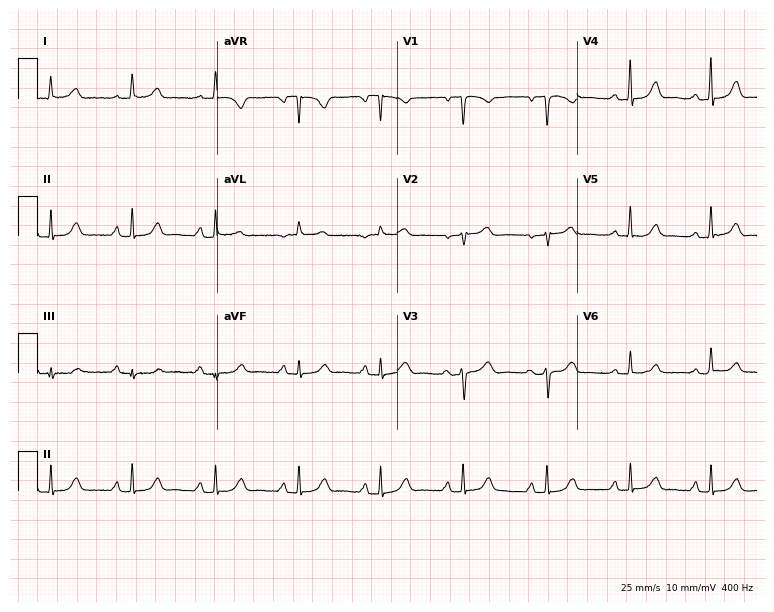
ECG — a 62-year-old woman. Labelled as a normal ECG.